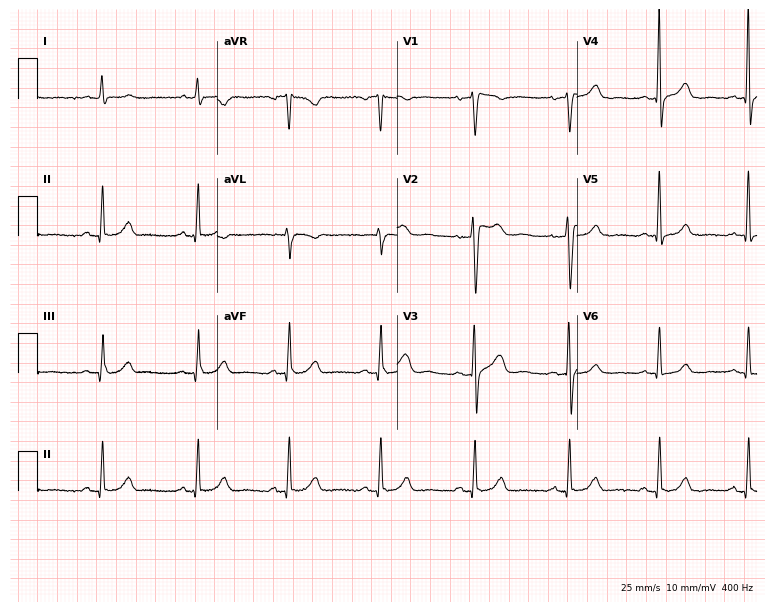
ECG — a 55-year-old female. Screened for six findings — first-degree AV block, right bundle branch block, left bundle branch block, sinus bradycardia, atrial fibrillation, sinus tachycardia — none is recorded. Findings outside these six are not listed.